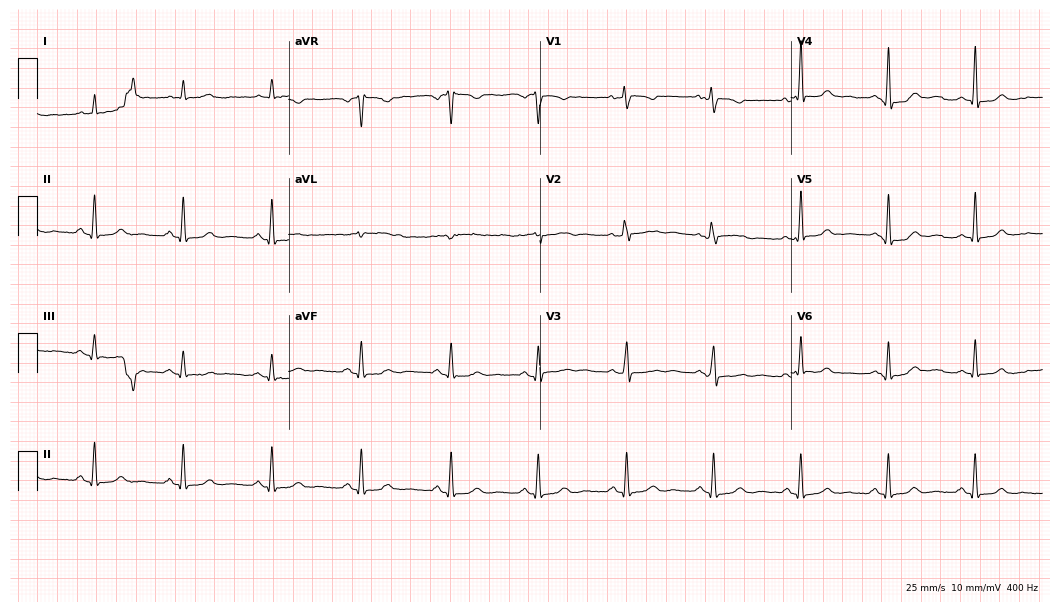
Standard 12-lead ECG recorded from a 55-year-old woman. Read as a normal ECG.